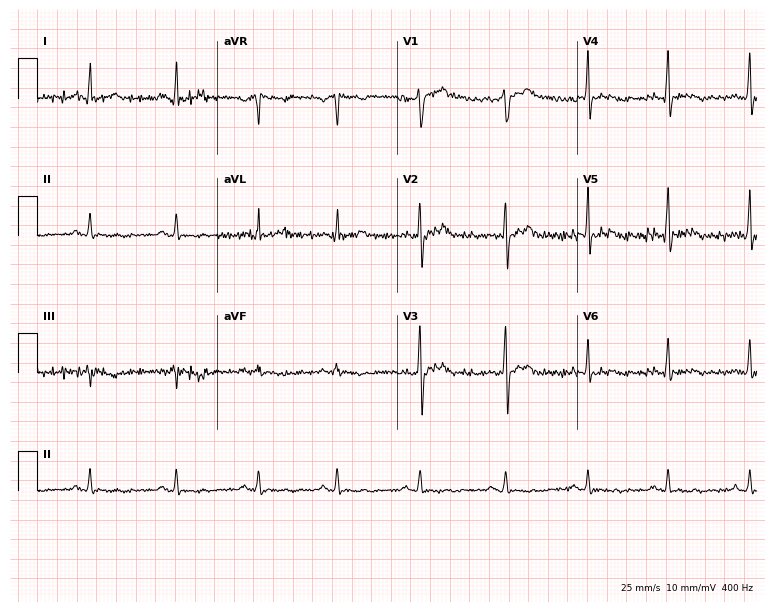
12-lead ECG from a male patient, 37 years old. Screened for six findings — first-degree AV block, right bundle branch block, left bundle branch block, sinus bradycardia, atrial fibrillation, sinus tachycardia — none is recorded.